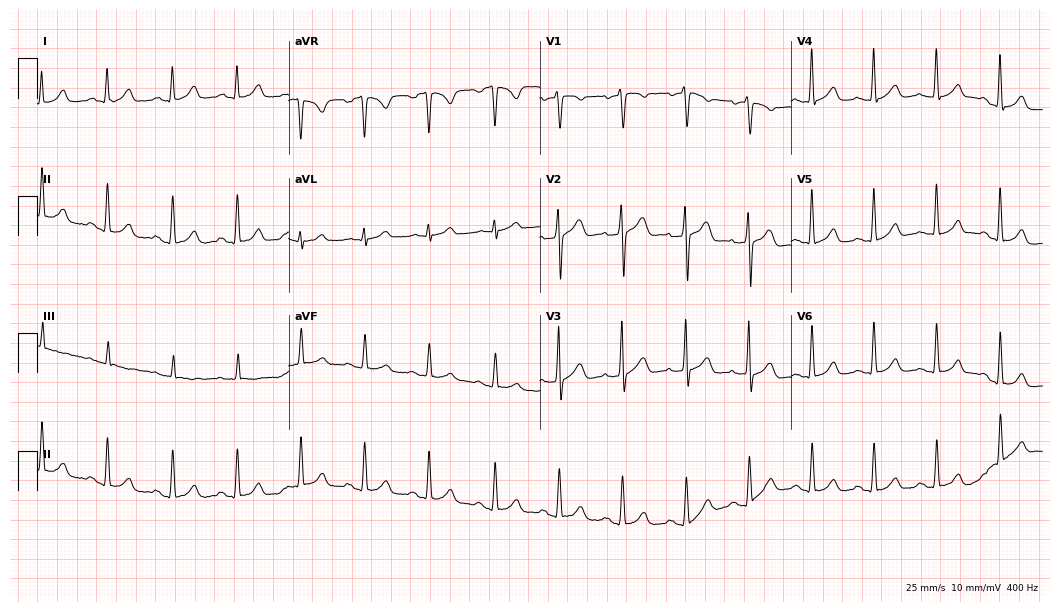
Standard 12-lead ECG recorded from a male patient, 53 years old (10.2-second recording at 400 Hz). Read as a normal ECG.